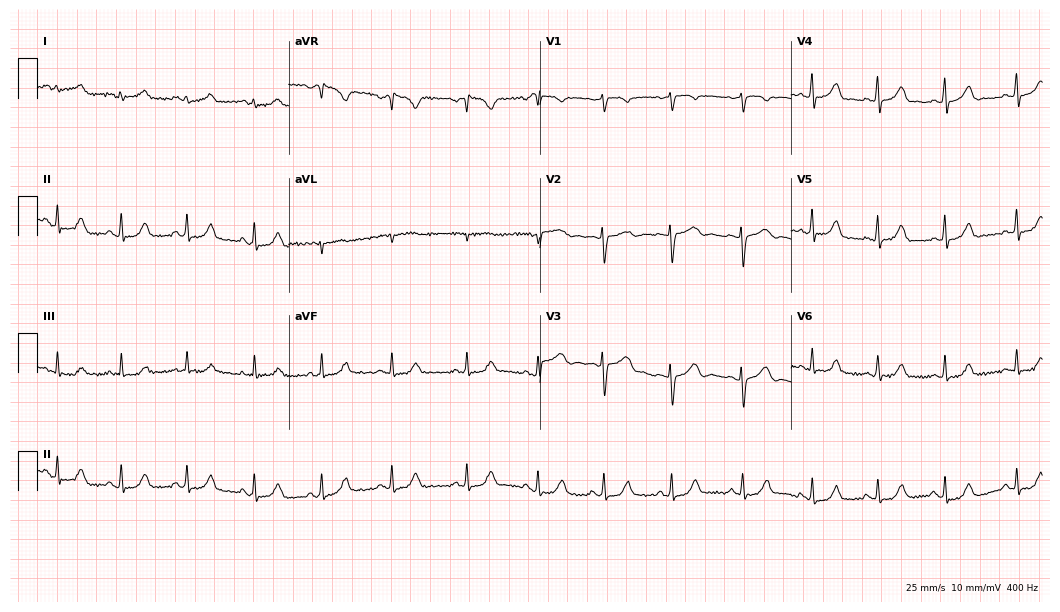
Standard 12-lead ECG recorded from a 19-year-old female (10.2-second recording at 400 Hz). None of these six findings is recorded: first-degree AV block, right bundle branch block (RBBB), left bundle branch block (LBBB), sinus bradycardia, atrial fibrillation (AF), sinus tachycardia.